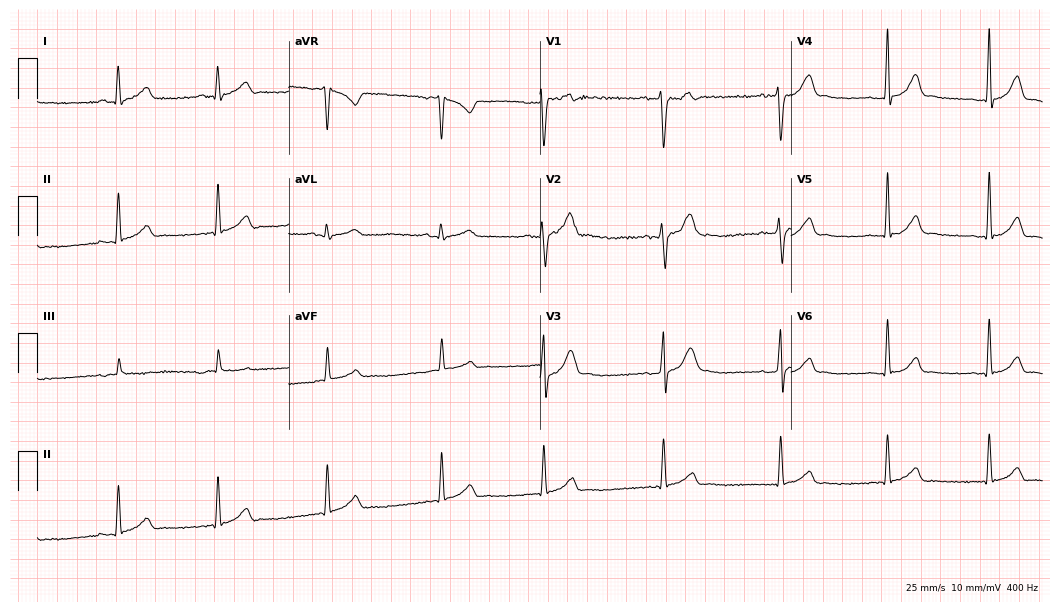
Standard 12-lead ECG recorded from a 23-year-old male. None of these six findings is recorded: first-degree AV block, right bundle branch block, left bundle branch block, sinus bradycardia, atrial fibrillation, sinus tachycardia.